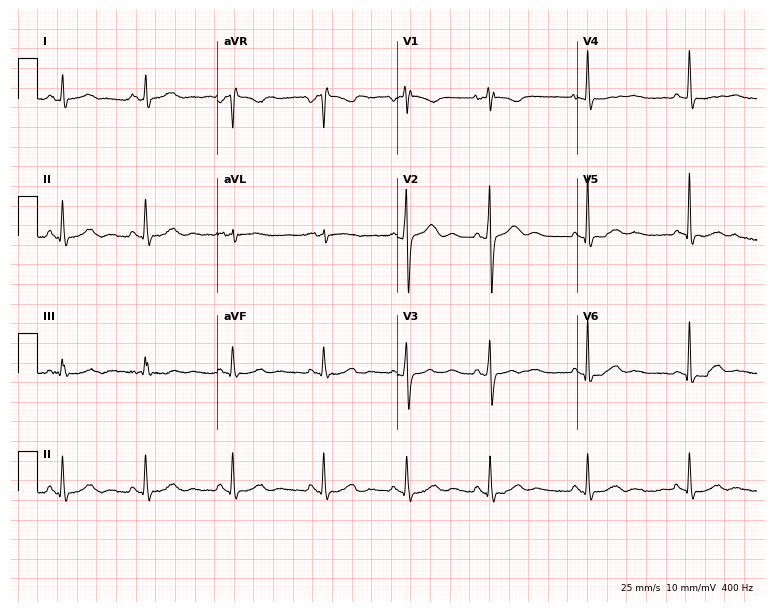
Standard 12-lead ECG recorded from a 29-year-old woman. None of these six findings is recorded: first-degree AV block, right bundle branch block (RBBB), left bundle branch block (LBBB), sinus bradycardia, atrial fibrillation (AF), sinus tachycardia.